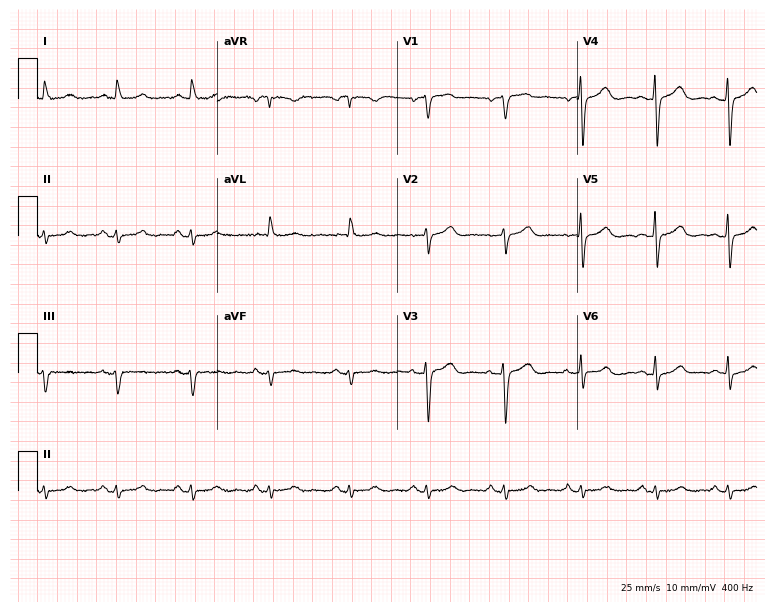
Standard 12-lead ECG recorded from a female patient, 62 years old. None of these six findings is recorded: first-degree AV block, right bundle branch block (RBBB), left bundle branch block (LBBB), sinus bradycardia, atrial fibrillation (AF), sinus tachycardia. Other findings, if any, are not listed.